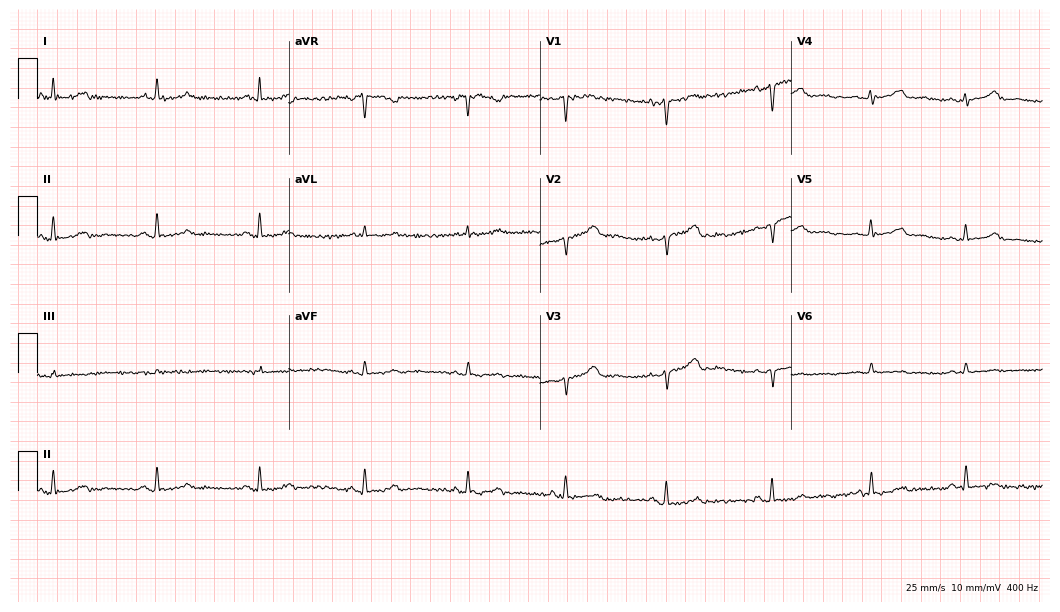
Electrocardiogram (10.2-second recording at 400 Hz), a female patient, 49 years old. Overall reading on record: normal ECG.